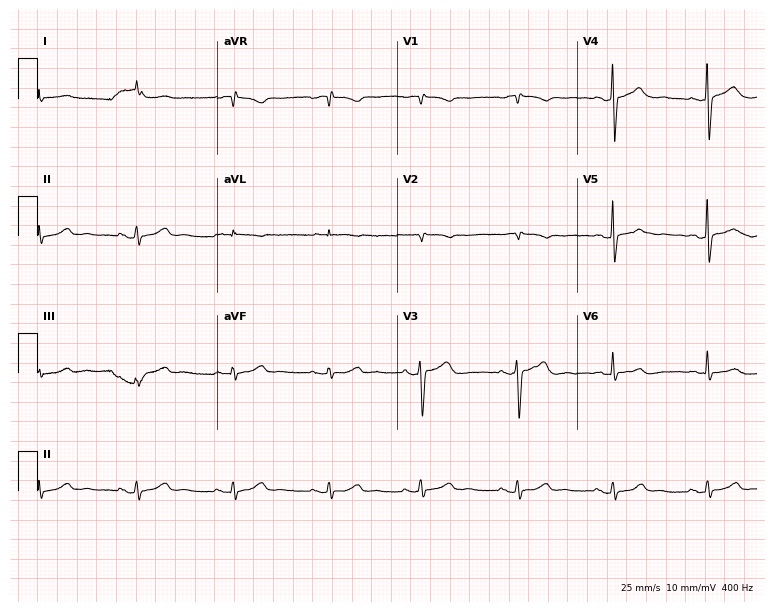
12-lead ECG from a 75-year-old male. Screened for six findings — first-degree AV block, right bundle branch block, left bundle branch block, sinus bradycardia, atrial fibrillation, sinus tachycardia — none is recorded. Other findings, if any, are not listed.